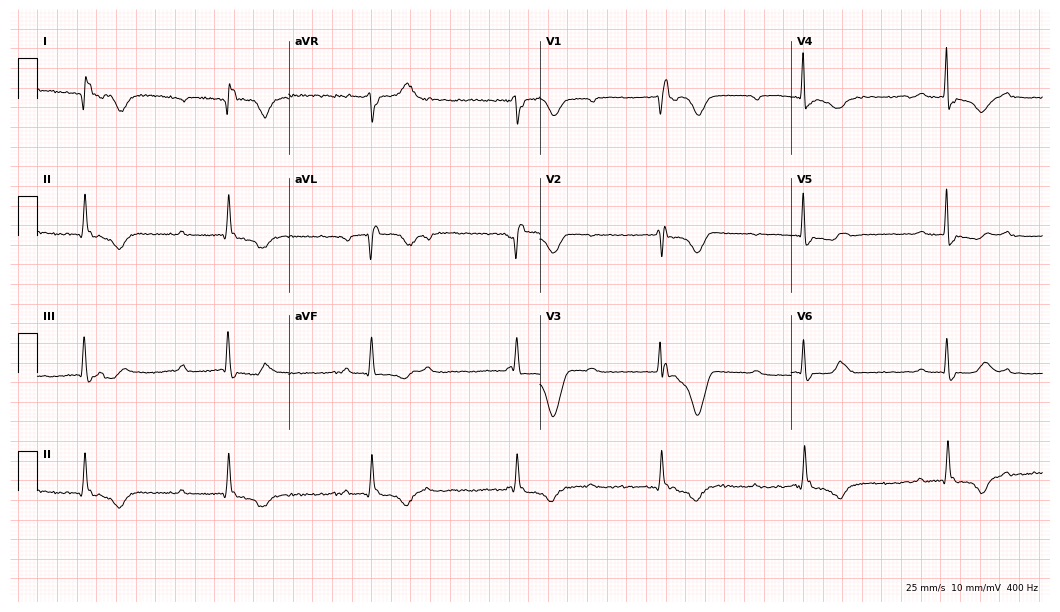
Electrocardiogram (10.2-second recording at 400 Hz), a 70-year-old female. Interpretation includes first-degree AV block, right bundle branch block (RBBB).